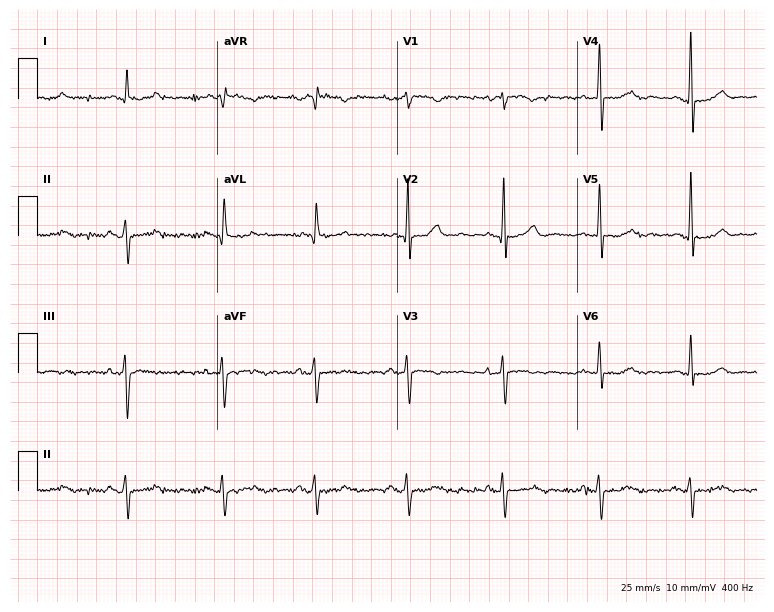
ECG — a 75-year-old woman. Screened for six findings — first-degree AV block, right bundle branch block (RBBB), left bundle branch block (LBBB), sinus bradycardia, atrial fibrillation (AF), sinus tachycardia — none is recorded. Findings outside these six are not listed.